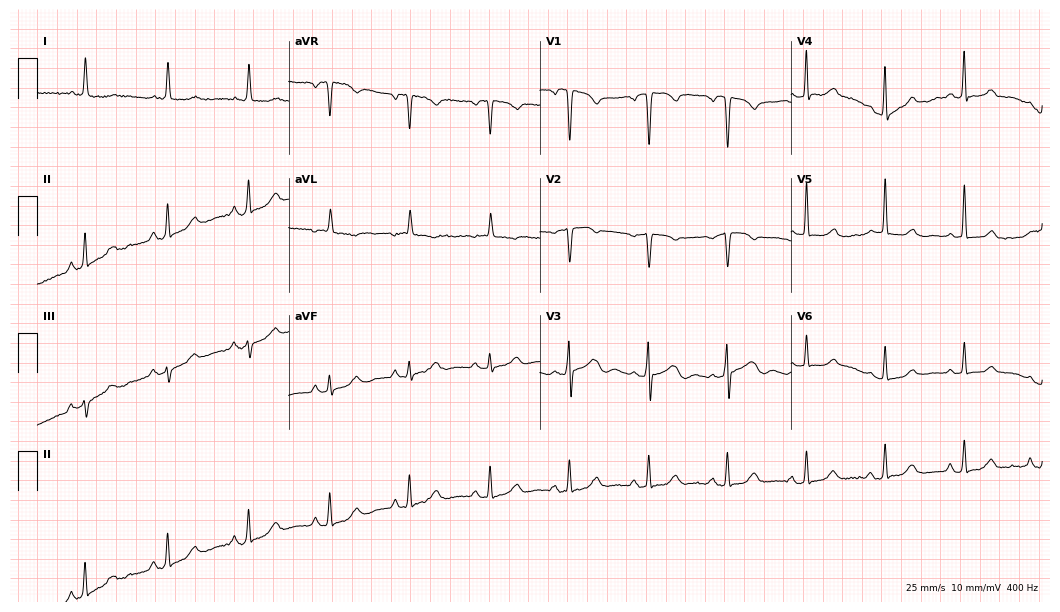
ECG — a 76-year-old female patient. Screened for six findings — first-degree AV block, right bundle branch block, left bundle branch block, sinus bradycardia, atrial fibrillation, sinus tachycardia — none is recorded. Findings outside these six are not listed.